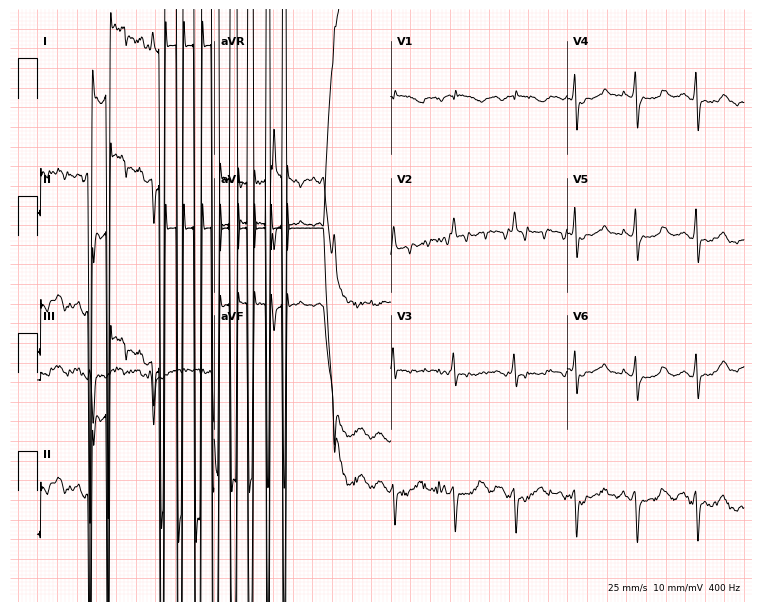
Resting 12-lead electrocardiogram (7.2-second recording at 400 Hz). Patient: a 79-year-old female. None of these six findings is recorded: first-degree AV block, right bundle branch block (RBBB), left bundle branch block (LBBB), sinus bradycardia, atrial fibrillation (AF), sinus tachycardia.